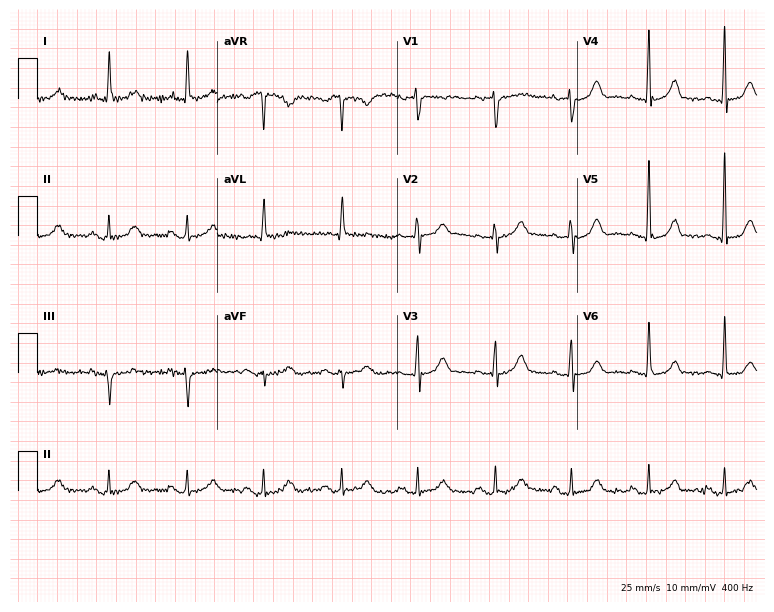
Electrocardiogram, an 81-year-old female. Of the six screened findings (first-degree AV block, right bundle branch block, left bundle branch block, sinus bradycardia, atrial fibrillation, sinus tachycardia), none is recorded.